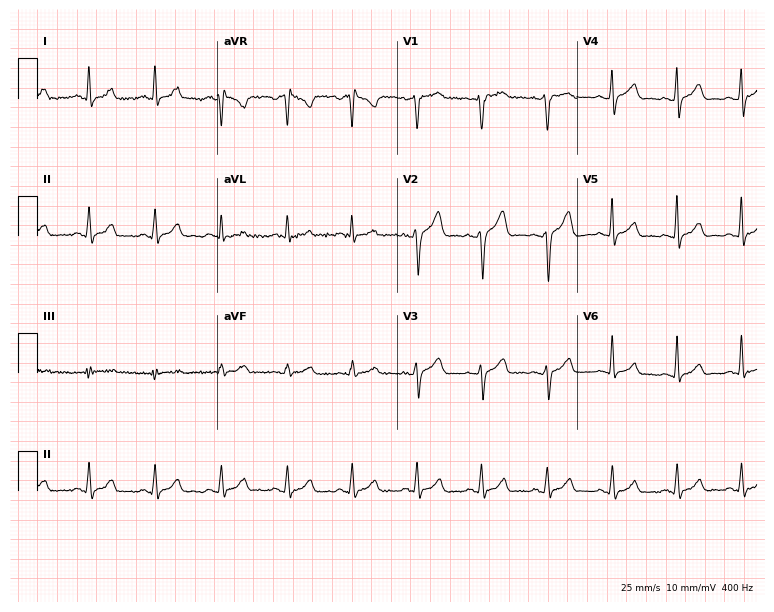
Resting 12-lead electrocardiogram (7.3-second recording at 400 Hz). Patient: a 49-year-old man. Read as a normal ECG.